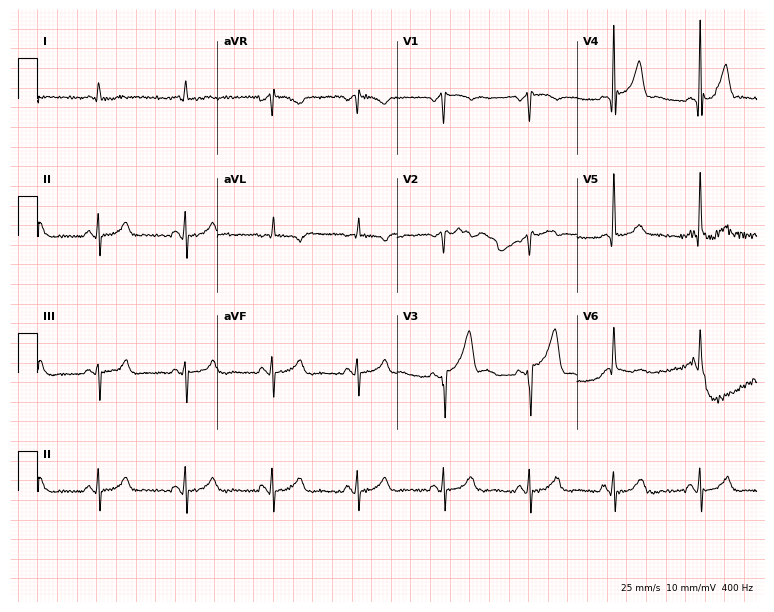
Electrocardiogram, a 61-year-old male. Of the six screened findings (first-degree AV block, right bundle branch block (RBBB), left bundle branch block (LBBB), sinus bradycardia, atrial fibrillation (AF), sinus tachycardia), none is recorded. Findings outside these six are not listed.